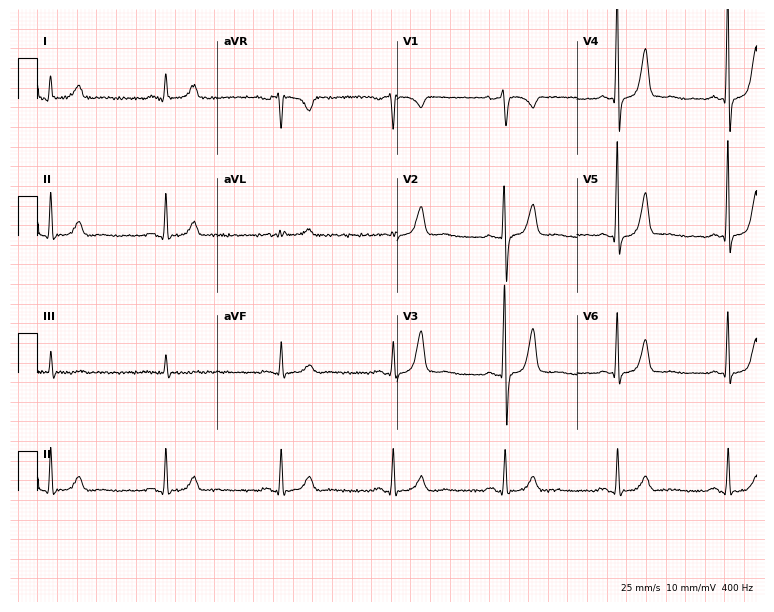
12-lead ECG from a man, 48 years old. Screened for six findings — first-degree AV block, right bundle branch block (RBBB), left bundle branch block (LBBB), sinus bradycardia, atrial fibrillation (AF), sinus tachycardia — none is recorded. Findings outside these six are not listed.